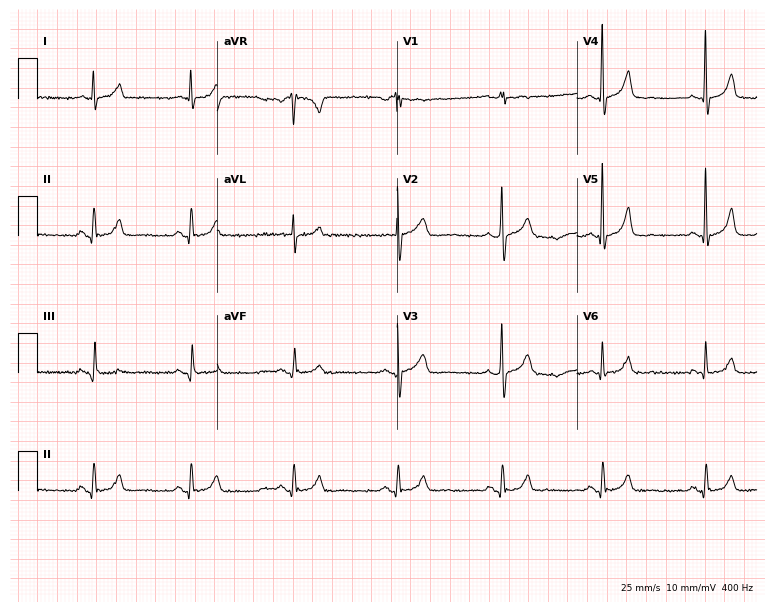
ECG (7.3-second recording at 400 Hz) — a man, 75 years old. Labelled as a normal ECG.